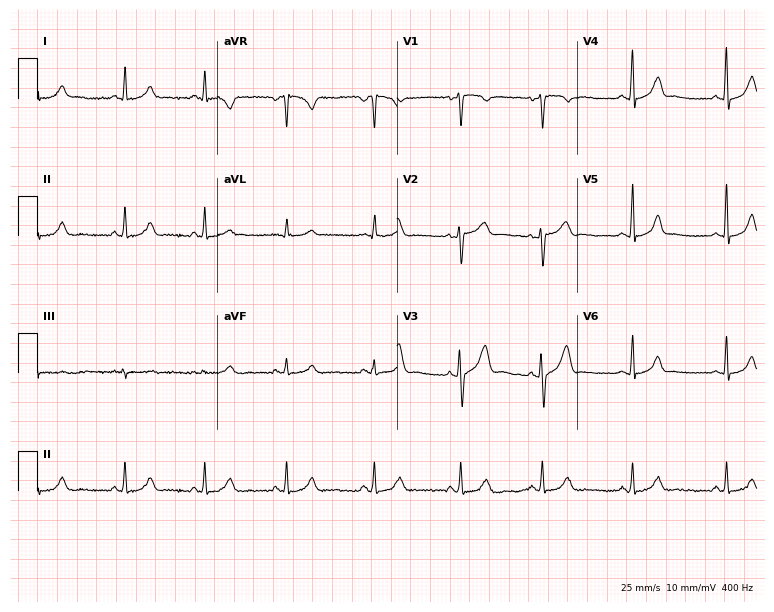
12-lead ECG from a 40-year-old female patient (7.3-second recording at 400 Hz). Recorded interpretation: within normal limits.